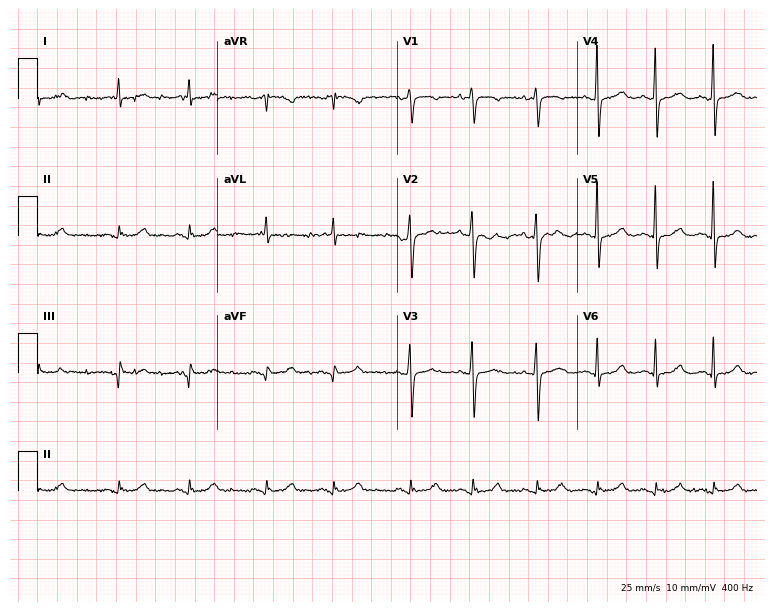
12-lead ECG from a female, 80 years old (7.3-second recording at 400 Hz). No first-degree AV block, right bundle branch block (RBBB), left bundle branch block (LBBB), sinus bradycardia, atrial fibrillation (AF) or sinus tachycardia recorded for this tracing.